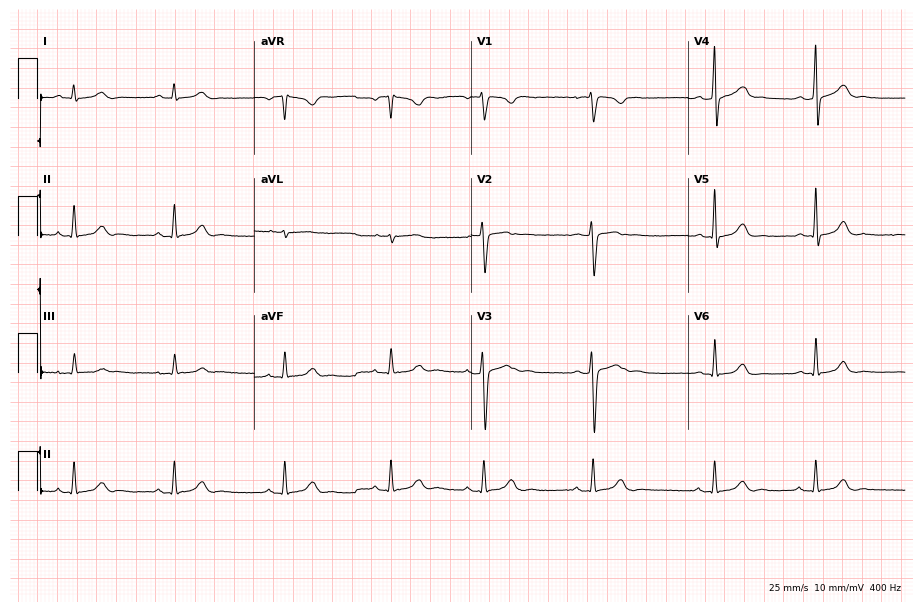
Standard 12-lead ECG recorded from a woman, 76 years old (8.8-second recording at 400 Hz). None of these six findings is recorded: first-degree AV block, right bundle branch block, left bundle branch block, sinus bradycardia, atrial fibrillation, sinus tachycardia.